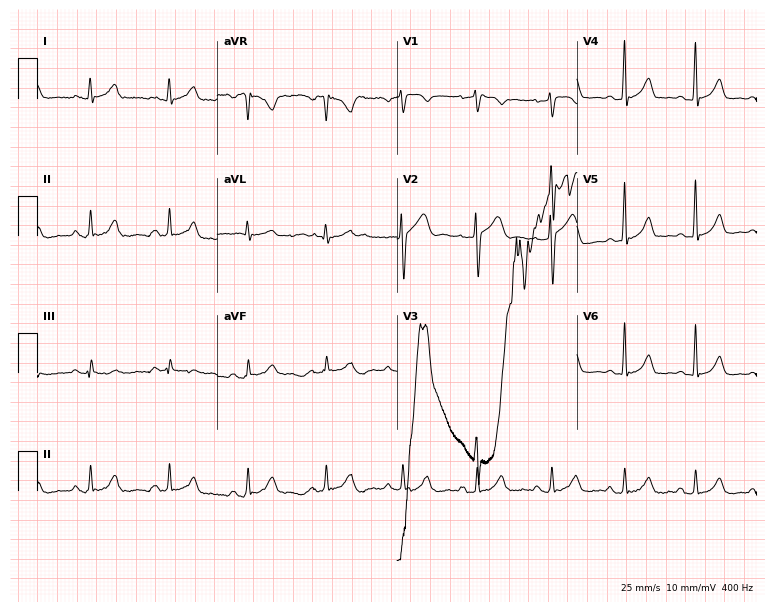
Resting 12-lead electrocardiogram. Patient: a 46-year-old male. None of these six findings is recorded: first-degree AV block, right bundle branch block, left bundle branch block, sinus bradycardia, atrial fibrillation, sinus tachycardia. Findings outside these six are not listed.